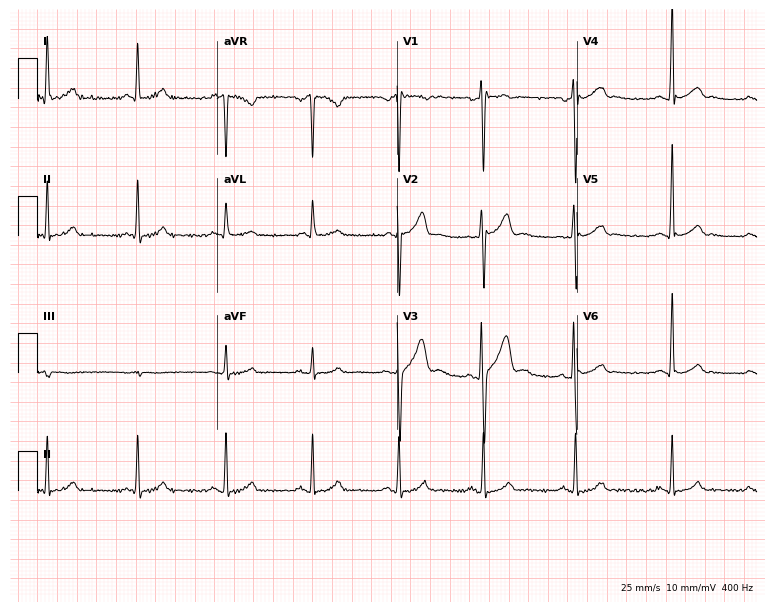
ECG — a man, 32 years old. Labelled as a normal ECG.